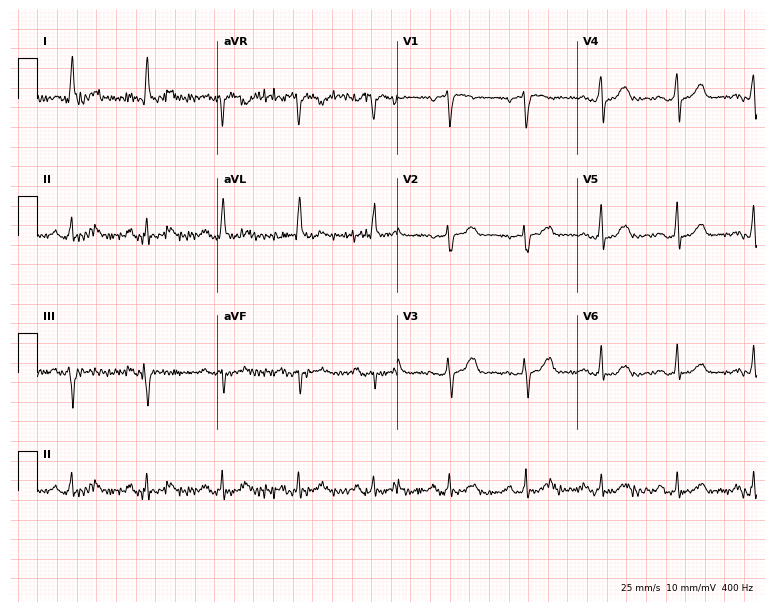
Standard 12-lead ECG recorded from a woman, 66 years old. None of these six findings is recorded: first-degree AV block, right bundle branch block (RBBB), left bundle branch block (LBBB), sinus bradycardia, atrial fibrillation (AF), sinus tachycardia.